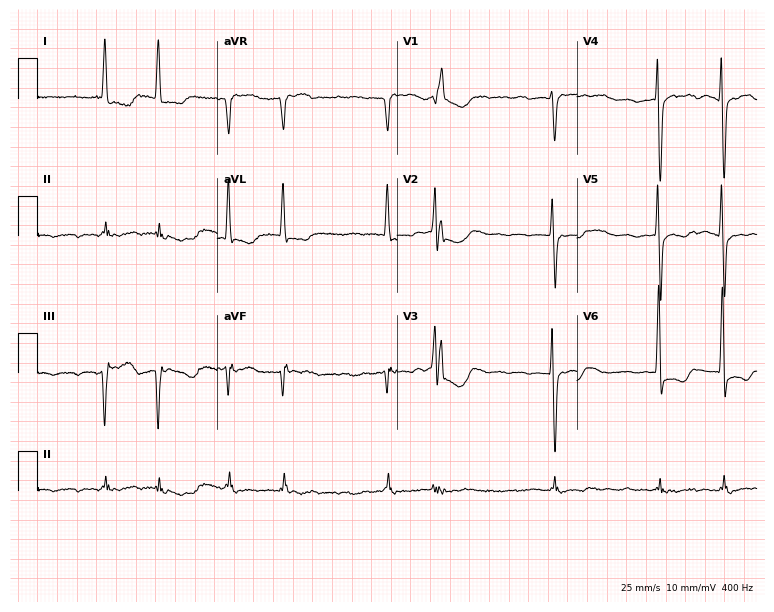
12-lead ECG from a 77-year-old woman. Shows atrial fibrillation (AF).